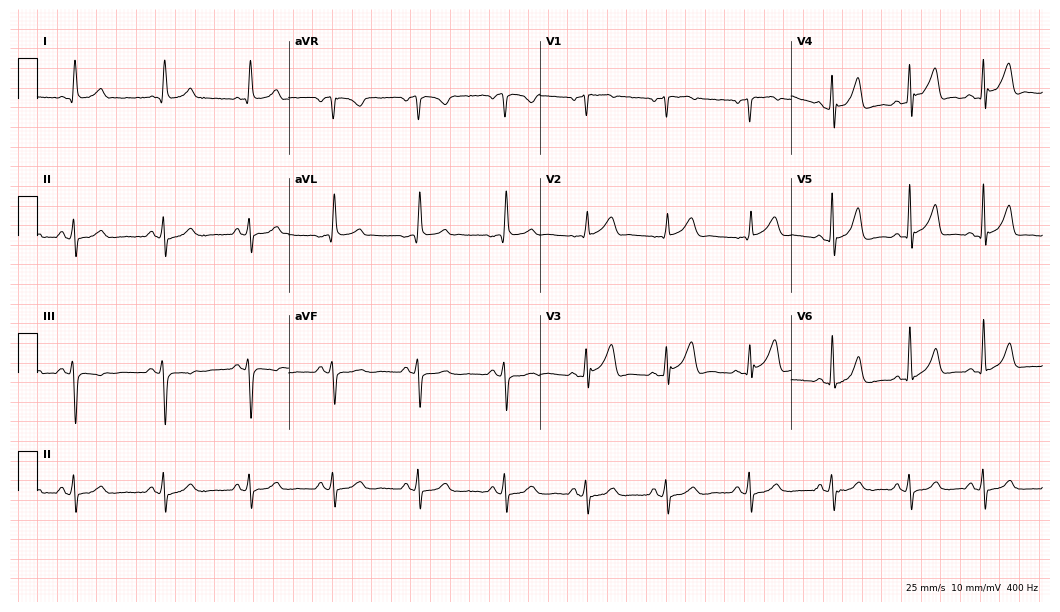
12-lead ECG (10.2-second recording at 400 Hz) from a male patient, 62 years old. Screened for six findings — first-degree AV block, right bundle branch block, left bundle branch block, sinus bradycardia, atrial fibrillation, sinus tachycardia — none is recorded.